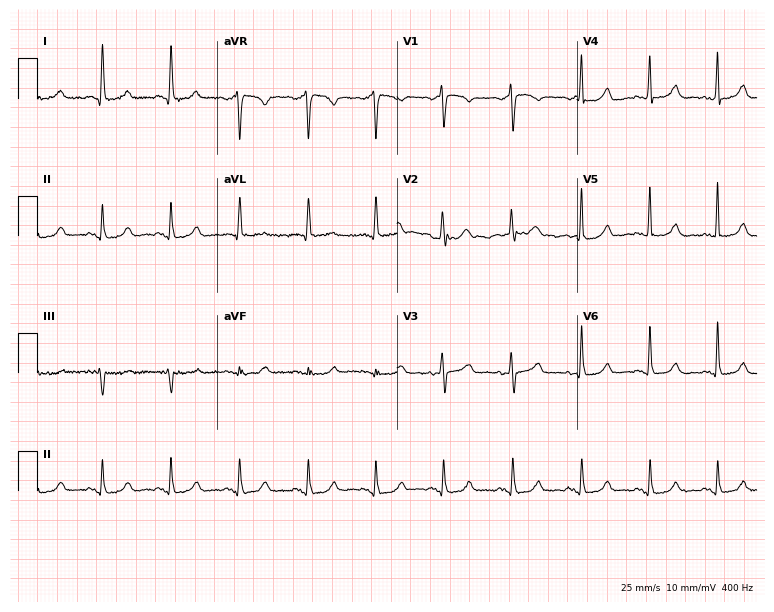
12-lead ECG (7.3-second recording at 400 Hz) from a woman, 66 years old. Labelled as a normal ECG.